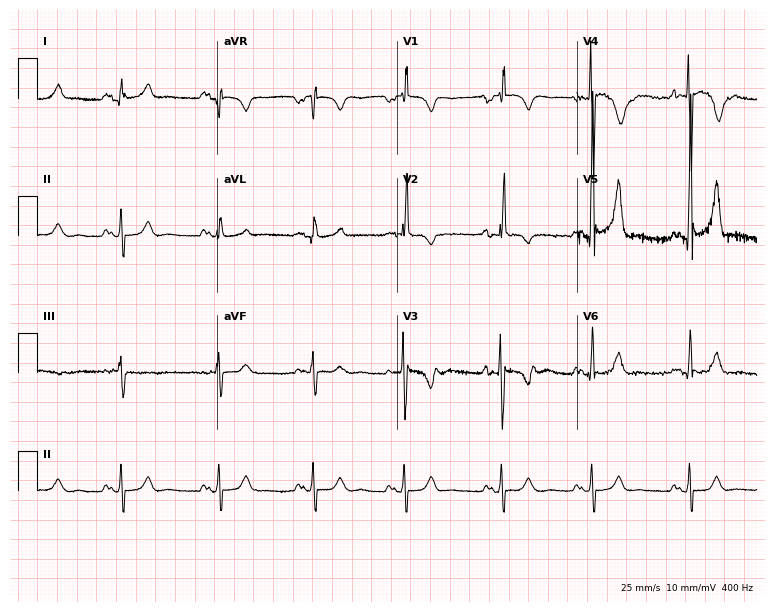
ECG (7.3-second recording at 400 Hz) — a male, 29 years old. Screened for six findings — first-degree AV block, right bundle branch block (RBBB), left bundle branch block (LBBB), sinus bradycardia, atrial fibrillation (AF), sinus tachycardia — none is recorded. Other findings, if any, are not listed.